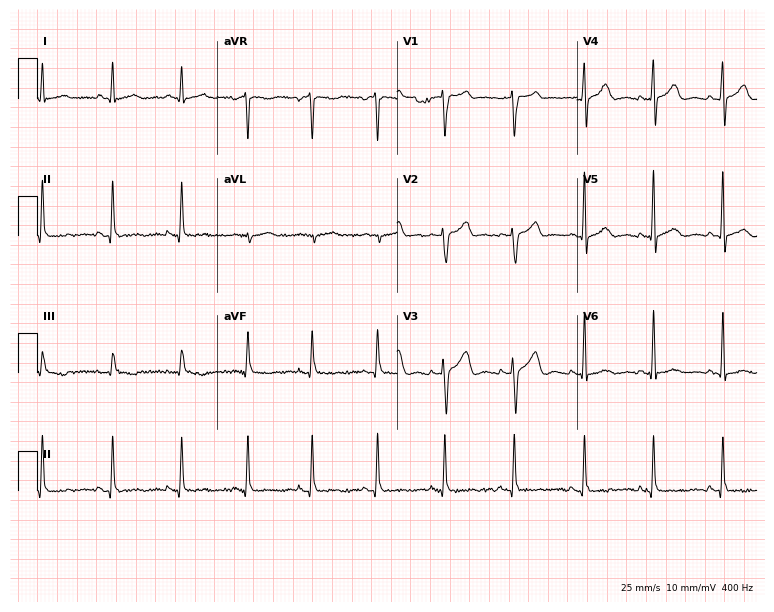
12-lead ECG from a 55-year-old male. No first-degree AV block, right bundle branch block (RBBB), left bundle branch block (LBBB), sinus bradycardia, atrial fibrillation (AF) or sinus tachycardia recorded for this tracing. Findings outside these six are not listed.